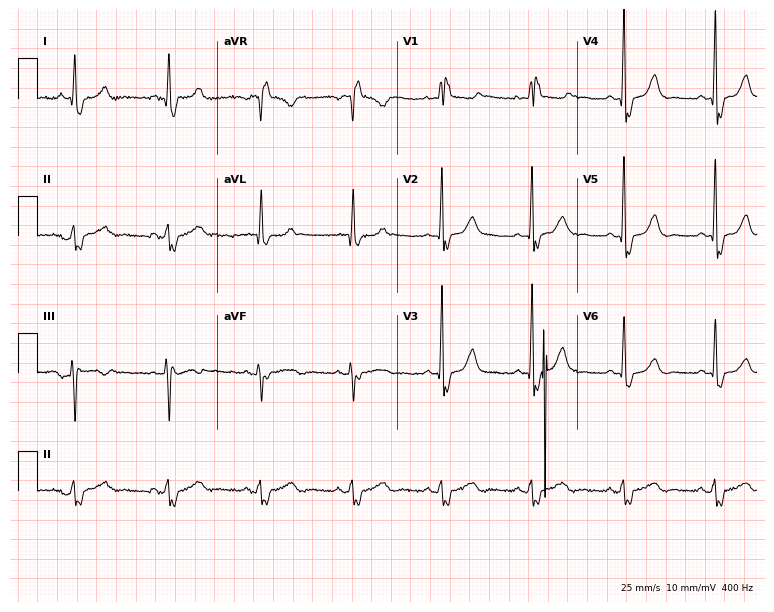
ECG — a 57-year-old female patient. Findings include right bundle branch block.